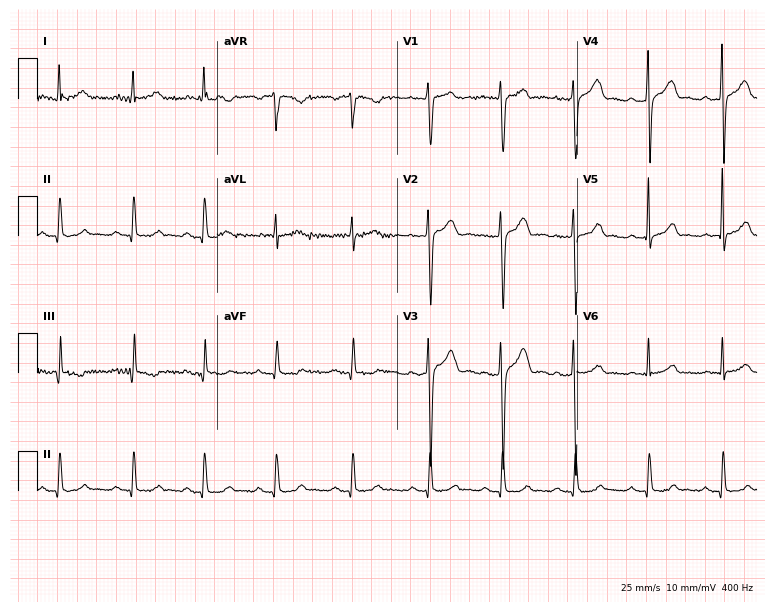
Electrocardiogram, a male patient, 41 years old. Overall reading on record: normal ECG.